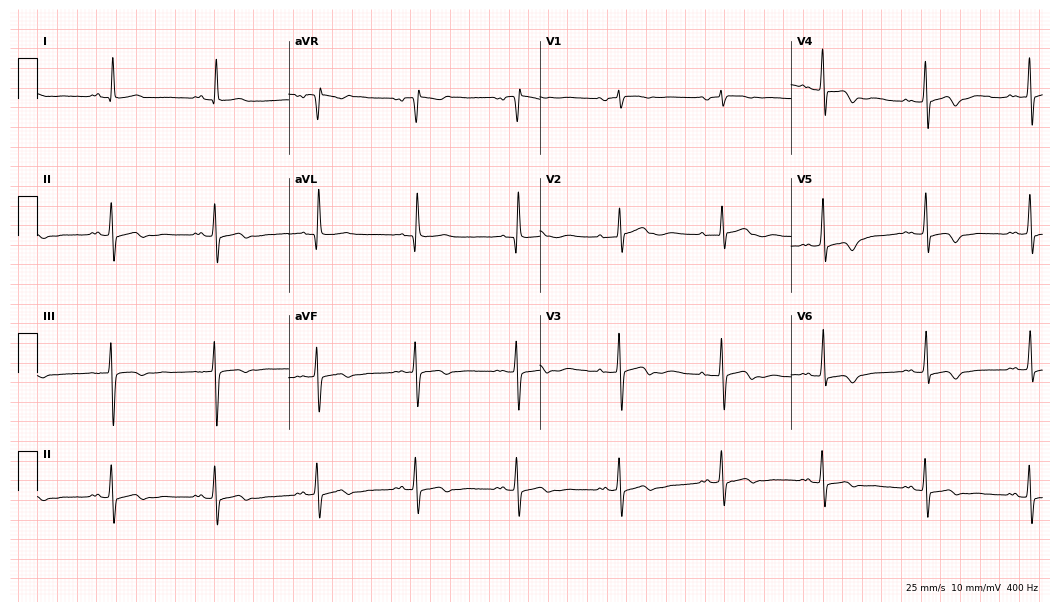
Standard 12-lead ECG recorded from a woman, 77 years old. None of these six findings is recorded: first-degree AV block, right bundle branch block (RBBB), left bundle branch block (LBBB), sinus bradycardia, atrial fibrillation (AF), sinus tachycardia. Findings outside these six are not listed.